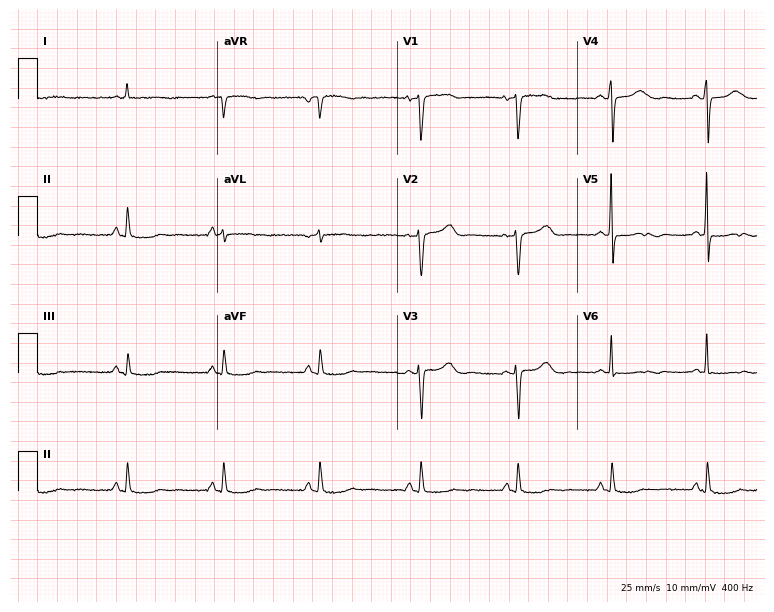
ECG (7.3-second recording at 400 Hz) — a female patient, 75 years old. Screened for six findings — first-degree AV block, right bundle branch block, left bundle branch block, sinus bradycardia, atrial fibrillation, sinus tachycardia — none is recorded. Only these six findings were labelled.